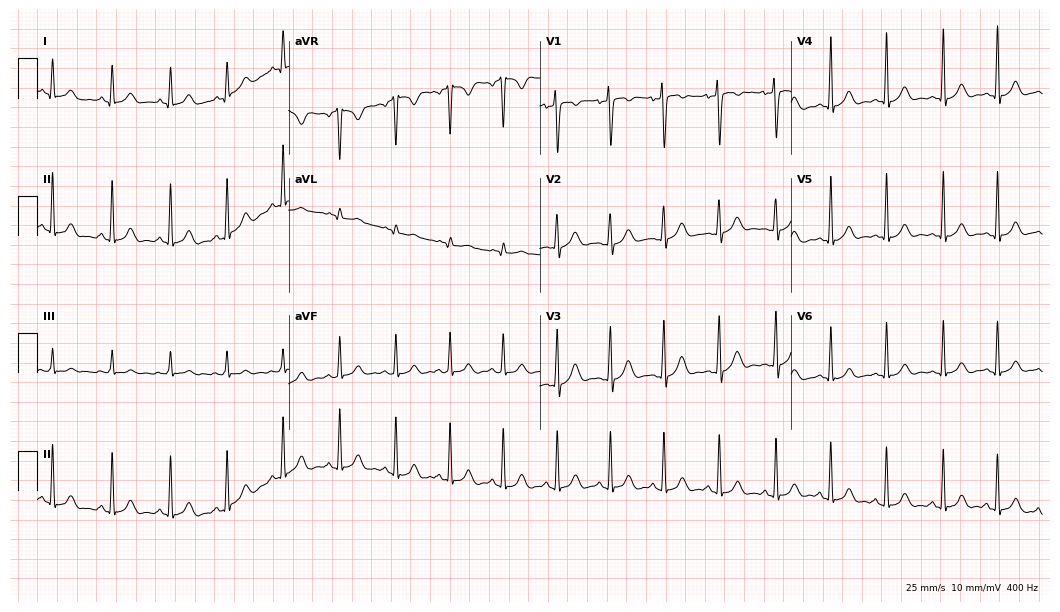
Electrocardiogram (10.2-second recording at 400 Hz), a female, 20 years old. Interpretation includes sinus tachycardia (a sinus rate of 100 beats per minute or more).